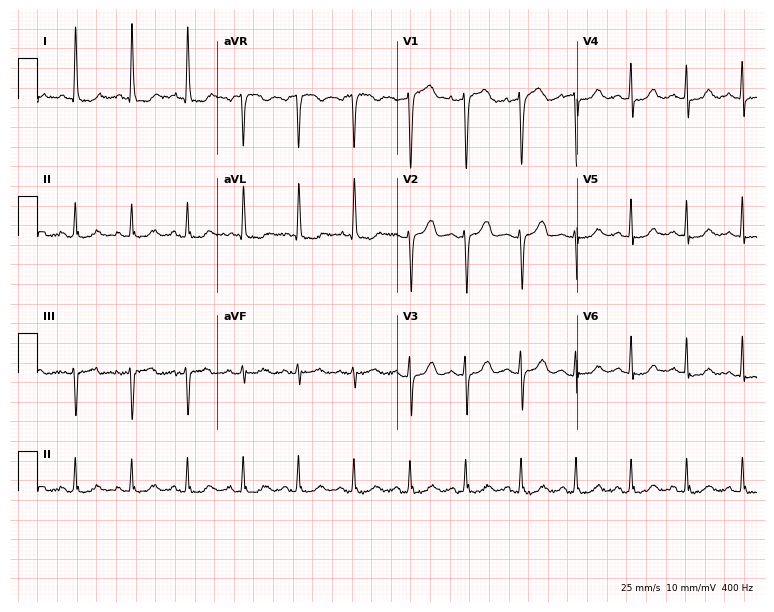
Electrocardiogram, a female, 68 years old. Interpretation includes sinus tachycardia (a sinus rate of 100 beats per minute or more).